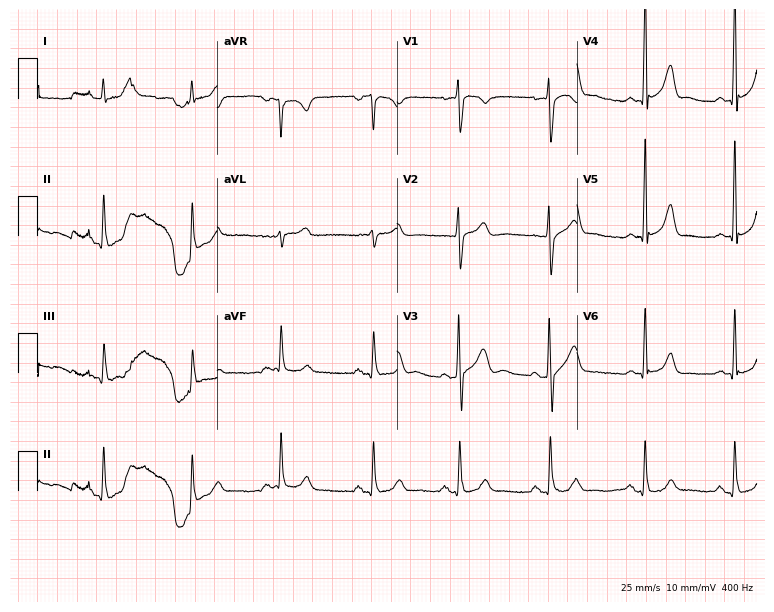
Resting 12-lead electrocardiogram. Patient: a male, 34 years old. None of these six findings is recorded: first-degree AV block, right bundle branch block, left bundle branch block, sinus bradycardia, atrial fibrillation, sinus tachycardia.